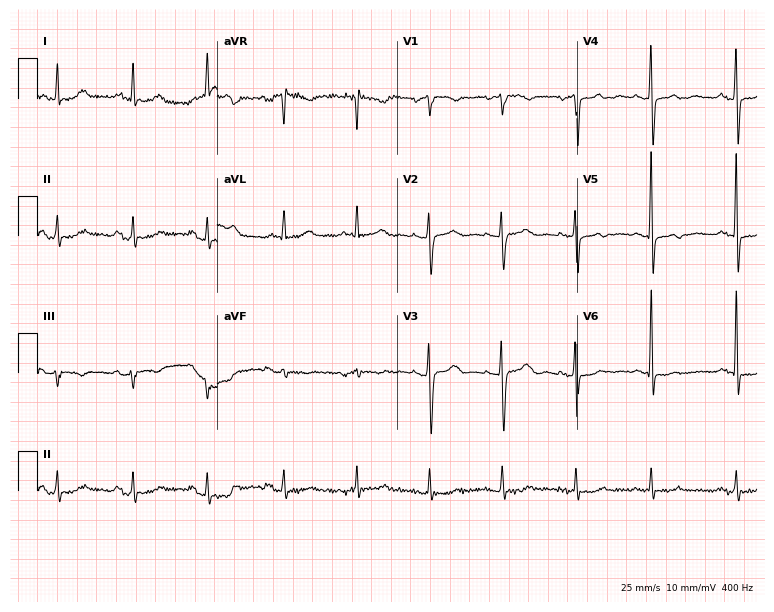
Electrocardiogram (7.3-second recording at 400 Hz), a woman, 77 years old. Overall reading on record: normal ECG.